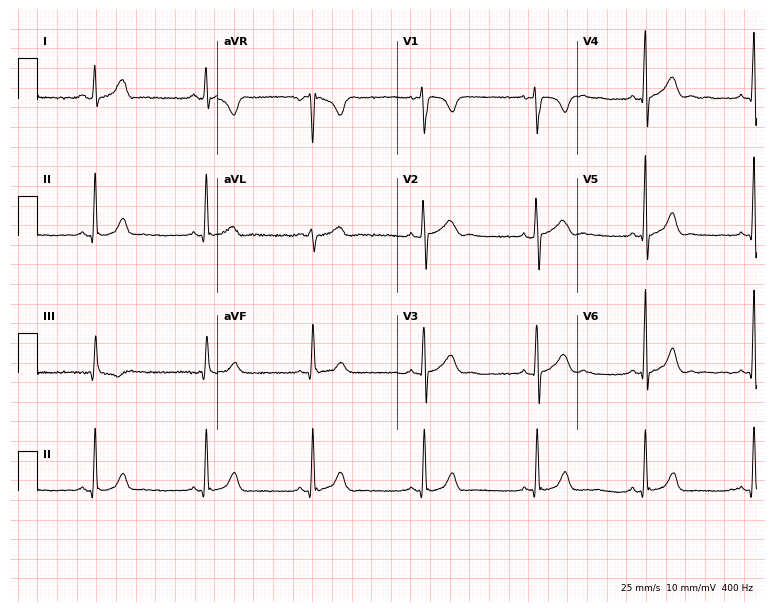
Electrocardiogram, a male, 20 years old. Overall reading on record: normal ECG.